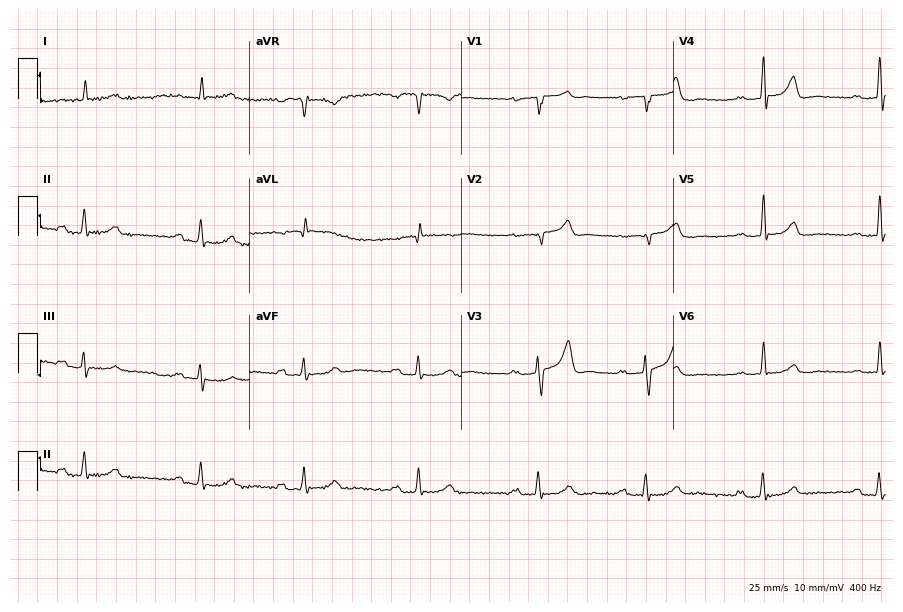
12-lead ECG from a 76-year-old man (8.6-second recording at 400 Hz). No first-degree AV block, right bundle branch block (RBBB), left bundle branch block (LBBB), sinus bradycardia, atrial fibrillation (AF) or sinus tachycardia recorded for this tracing. Findings outside these six are not listed.